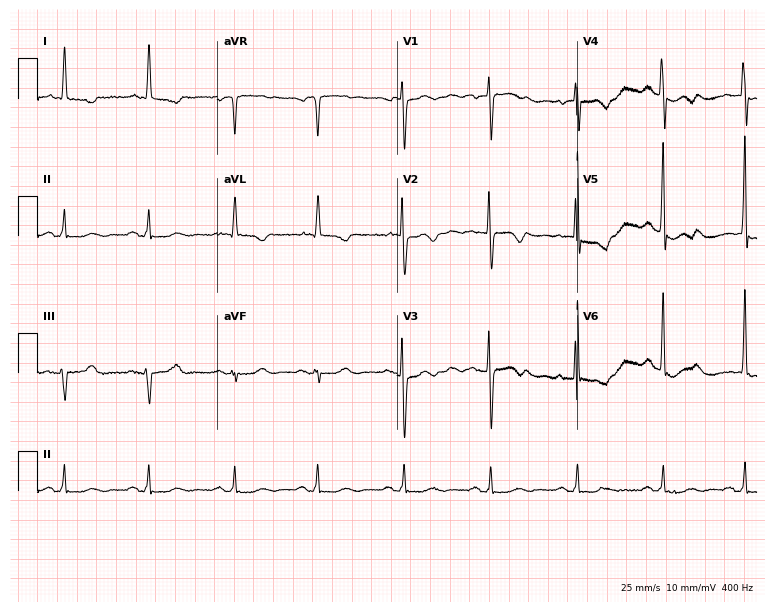
Electrocardiogram (7.3-second recording at 400 Hz), a 76-year-old female. Of the six screened findings (first-degree AV block, right bundle branch block, left bundle branch block, sinus bradycardia, atrial fibrillation, sinus tachycardia), none is recorded. Only these six findings were labelled.